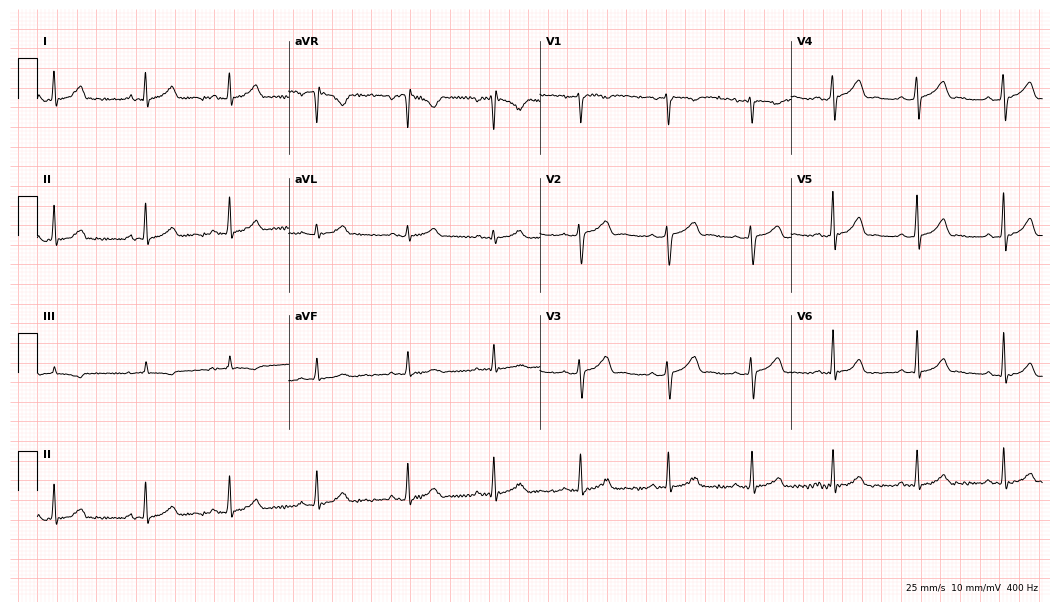
12-lead ECG from a 24-year-old female patient (10.2-second recording at 400 Hz). No first-degree AV block, right bundle branch block (RBBB), left bundle branch block (LBBB), sinus bradycardia, atrial fibrillation (AF) or sinus tachycardia recorded for this tracing. Other findings, if any, are not listed.